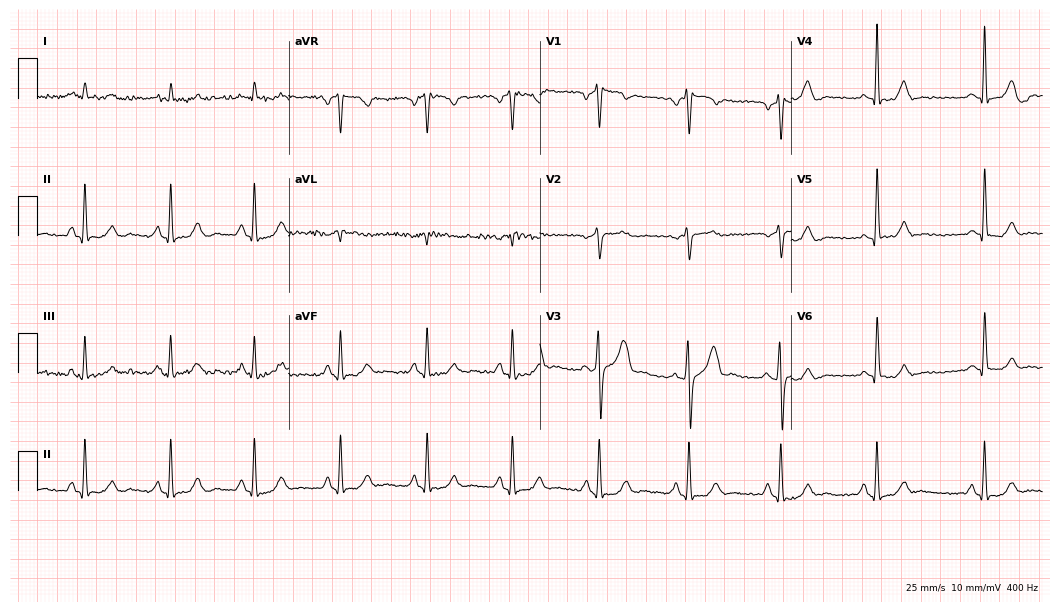
Standard 12-lead ECG recorded from a male patient, 53 years old. Read as a normal ECG.